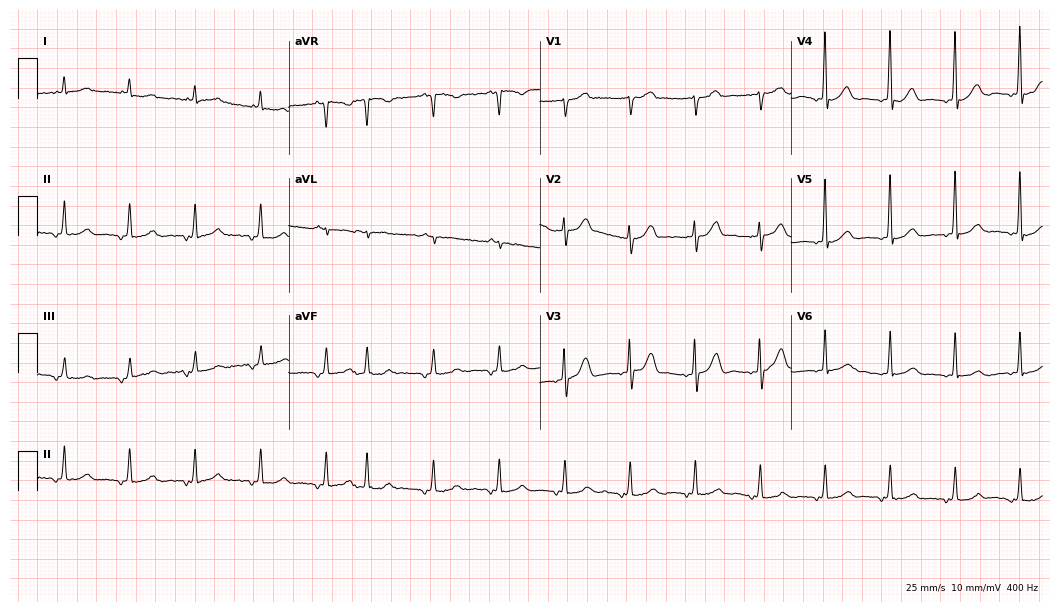
Standard 12-lead ECG recorded from a 78-year-old man (10.2-second recording at 400 Hz). None of these six findings is recorded: first-degree AV block, right bundle branch block (RBBB), left bundle branch block (LBBB), sinus bradycardia, atrial fibrillation (AF), sinus tachycardia.